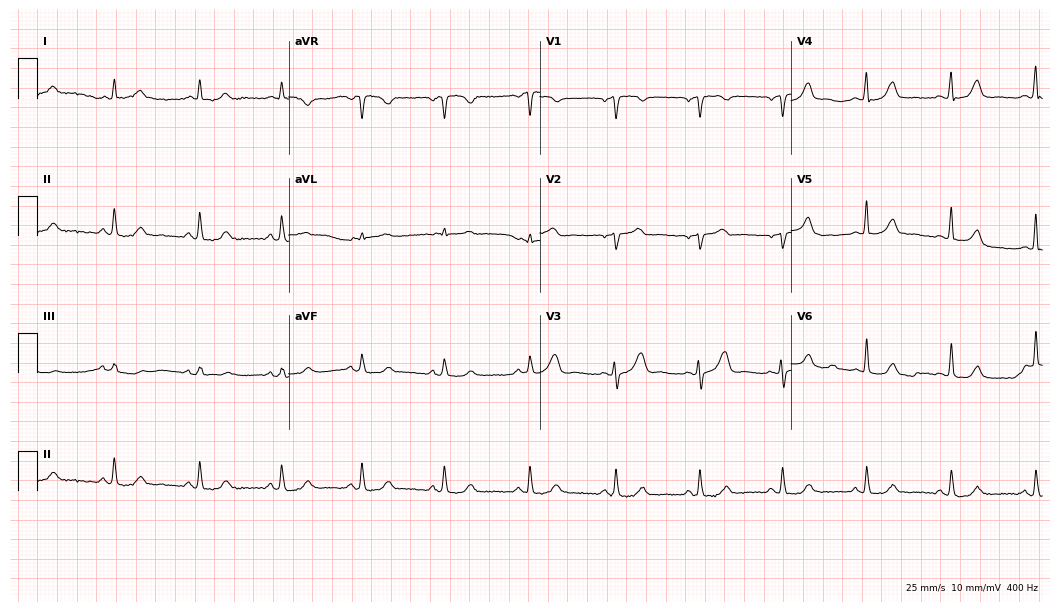
12-lead ECG from a 46-year-old female patient. Recorded interpretation: within normal limits.